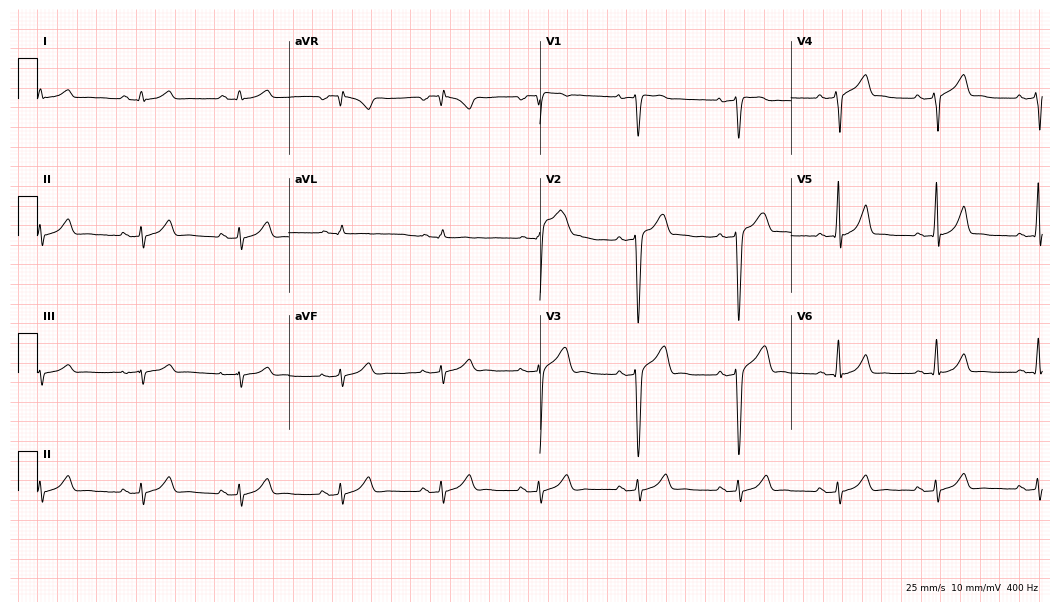
12-lead ECG from a man, 36 years old. Labelled as a normal ECG.